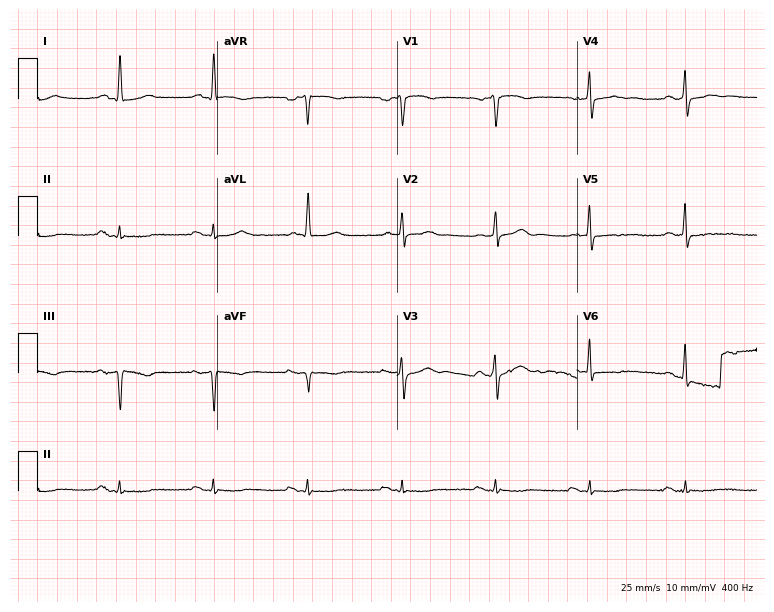
ECG — a male patient, 66 years old. Screened for six findings — first-degree AV block, right bundle branch block, left bundle branch block, sinus bradycardia, atrial fibrillation, sinus tachycardia — none is recorded.